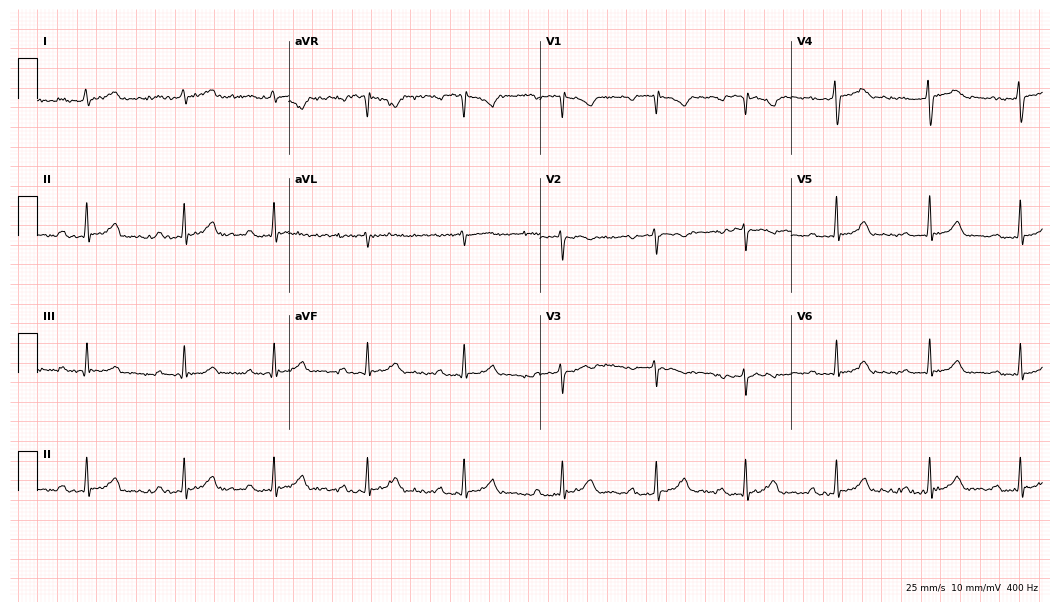
Standard 12-lead ECG recorded from a 36-year-old female patient (10.2-second recording at 400 Hz). The tracing shows first-degree AV block.